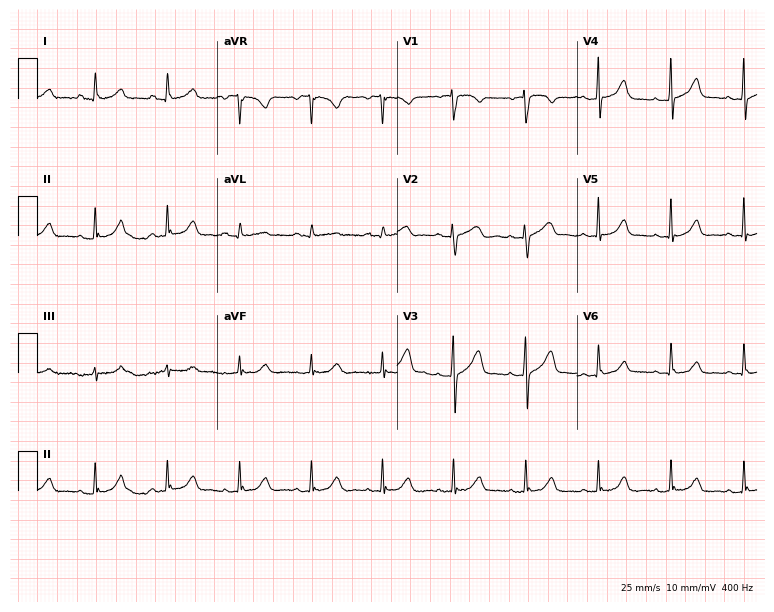
Standard 12-lead ECG recorded from a female, 70 years old. Read as a normal ECG.